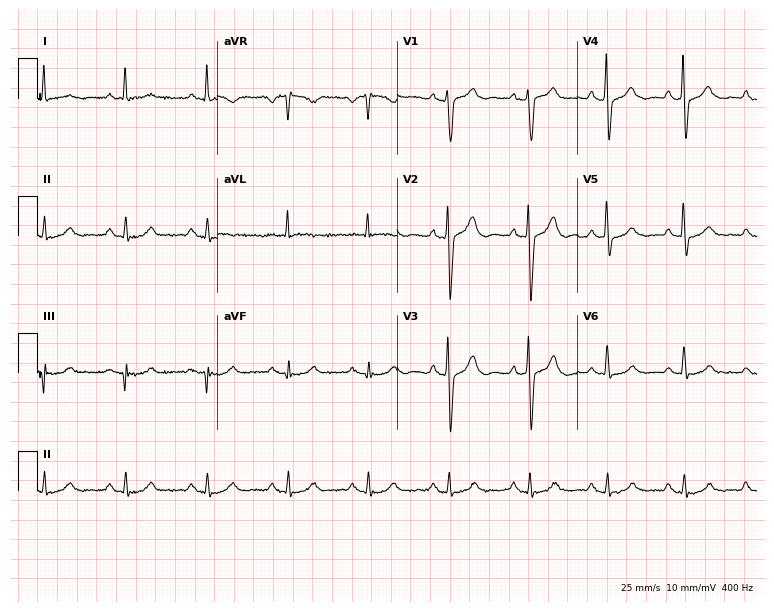
Resting 12-lead electrocardiogram. Patient: a 73-year-old man. Read as a normal ECG.